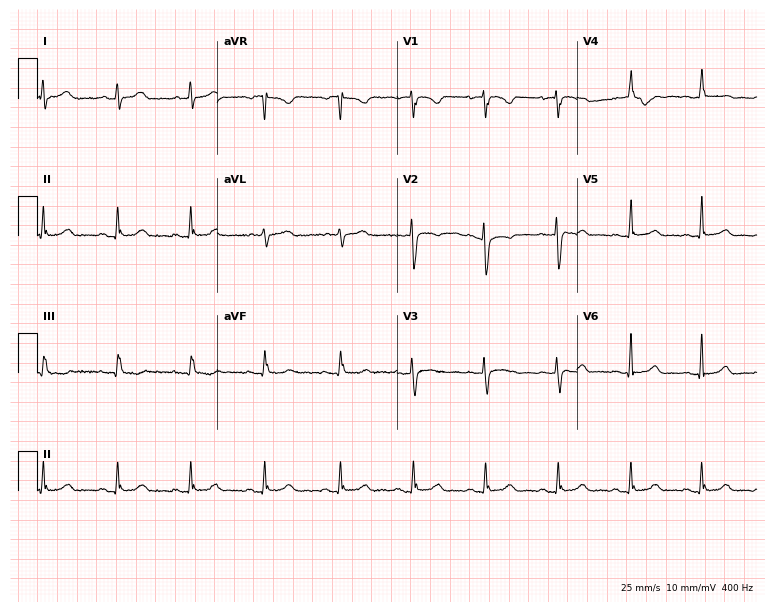
12-lead ECG from a female, 29 years old. Screened for six findings — first-degree AV block, right bundle branch block, left bundle branch block, sinus bradycardia, atrial fibrillation, sinus tachycardia — none is recorded.